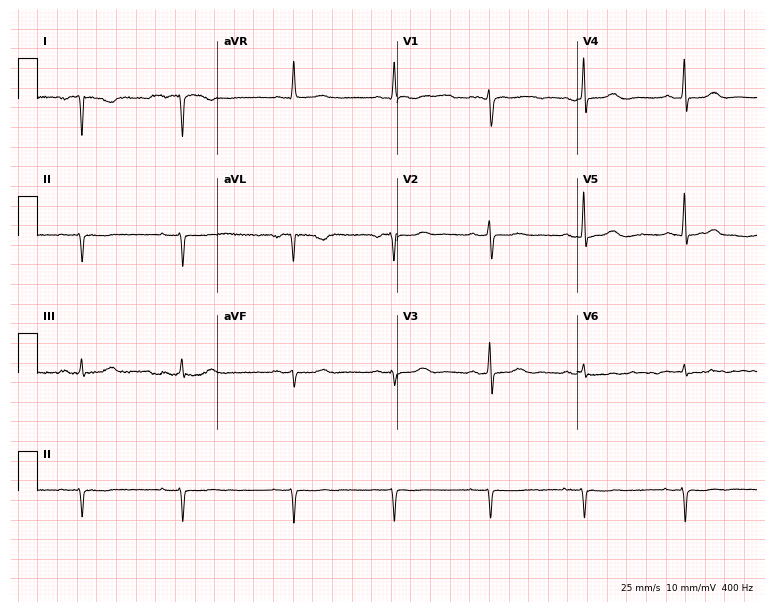
Resting 12-lead electrocardiogram. Patient: a female, 65 years old. None of these six findings is recorded: first-degree AV block, right bundle branch block, left bundle branch block, sinus bradycardia, atrial fibrillation, sinus tachycardia. Findings outside these six are not listed.